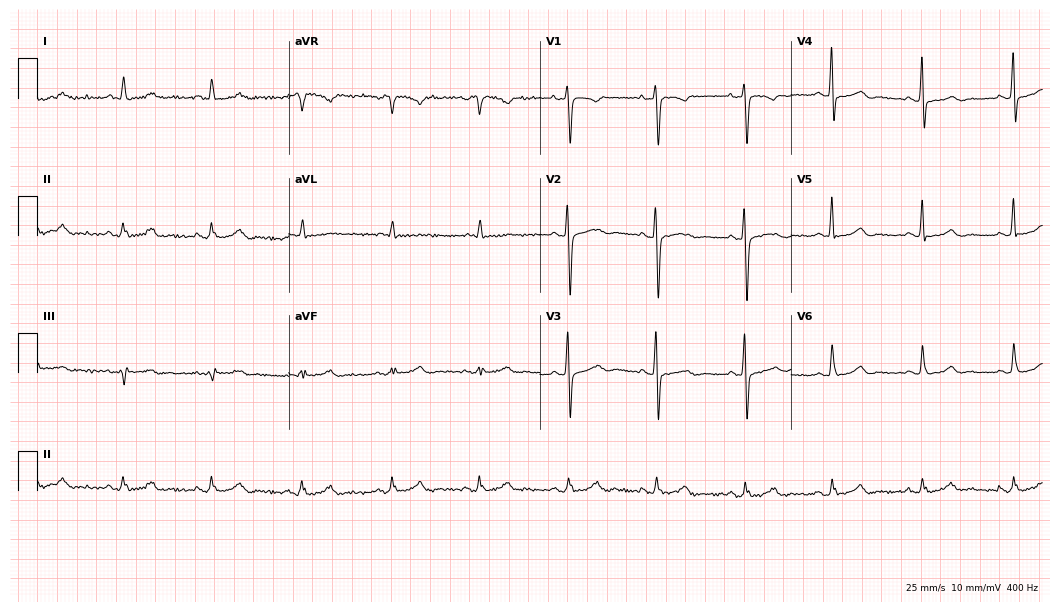
12-lead ECG from a 56-year-old female. Recorded interpretation: within normal limits.